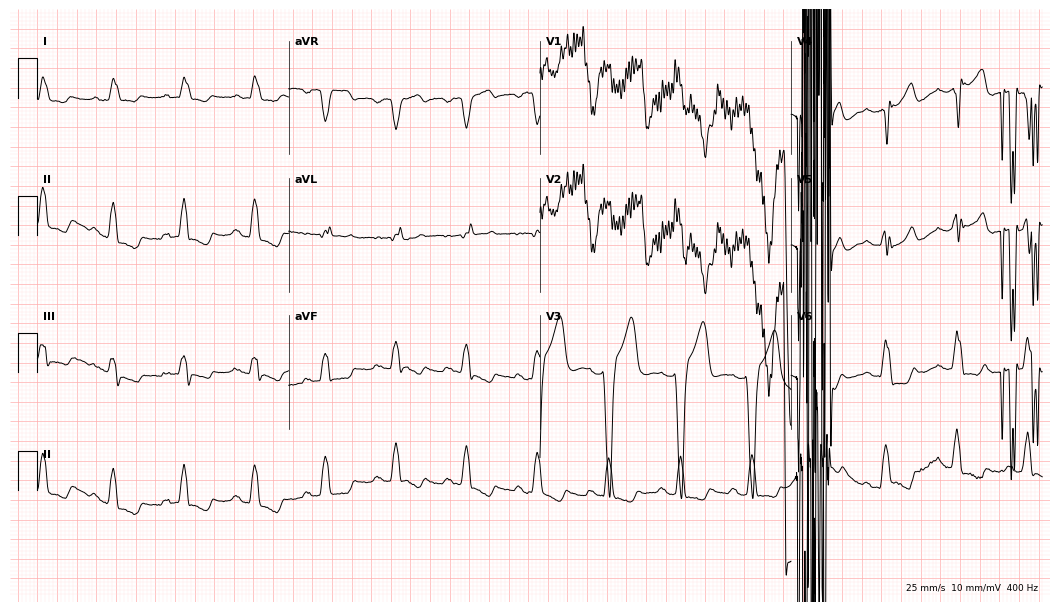
12-lead ECG from an 80-year-old male (10.2-second recording at 400 Hz). No first-degree AV block, right bundle branch block, left bundle branch block, sinus bradycardia, atrial fibrillation or sinus tachycardia recorded for this tracing. Only these six findings were labelled.